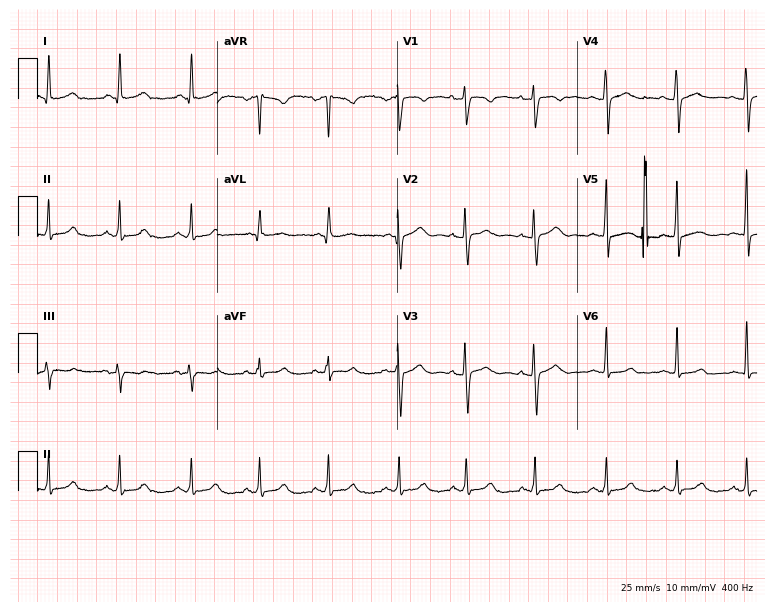
Electrocardiogram (7.3-second recording at 400 Hz), a 31-year-old woman. Overall reading on record: normal ECG.